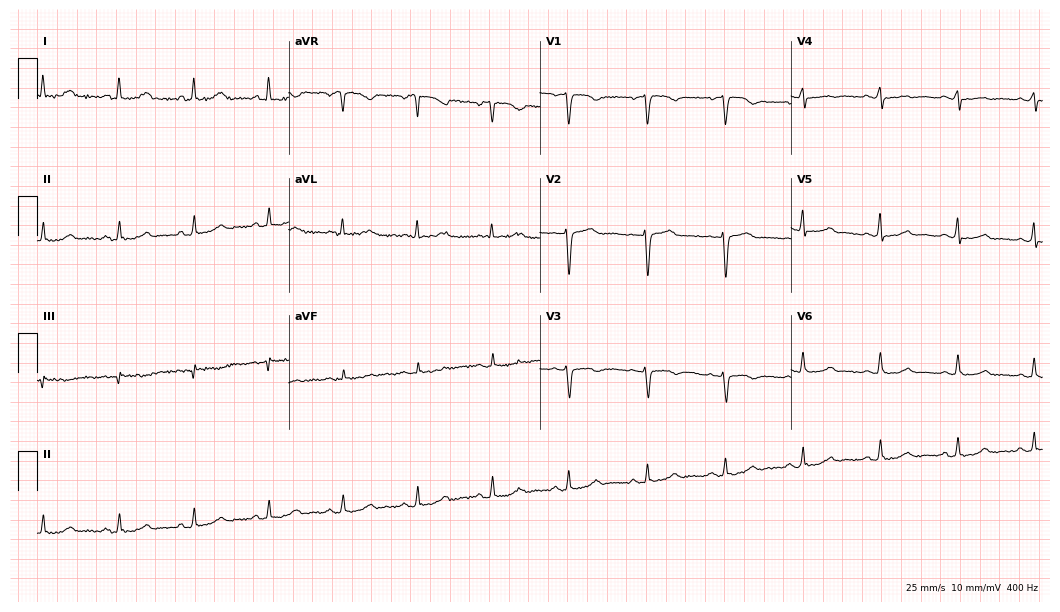
Electrocardiogram, a 54-year-old woman. Of the six screened findings (first-degree AV block, right bundle branch block (RBBB), left bundle branch block (LBBB), sinus bradycardia, atrial fibrillation (AF), sinus tachycardia), none is recorded. Other findings, if any, are not listed.